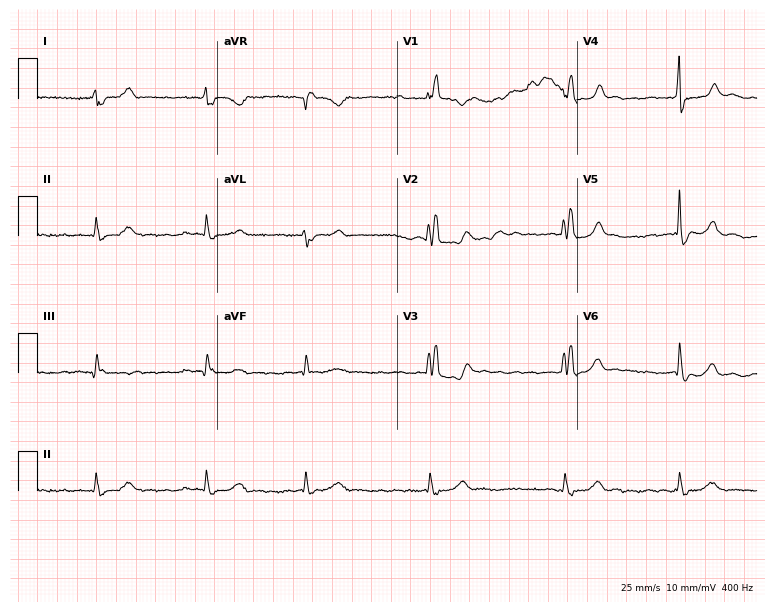
Standard 12-lead ECG recorded from a 75-year-old male. The tracing shows right bundle branch block, atrial fibrillation.